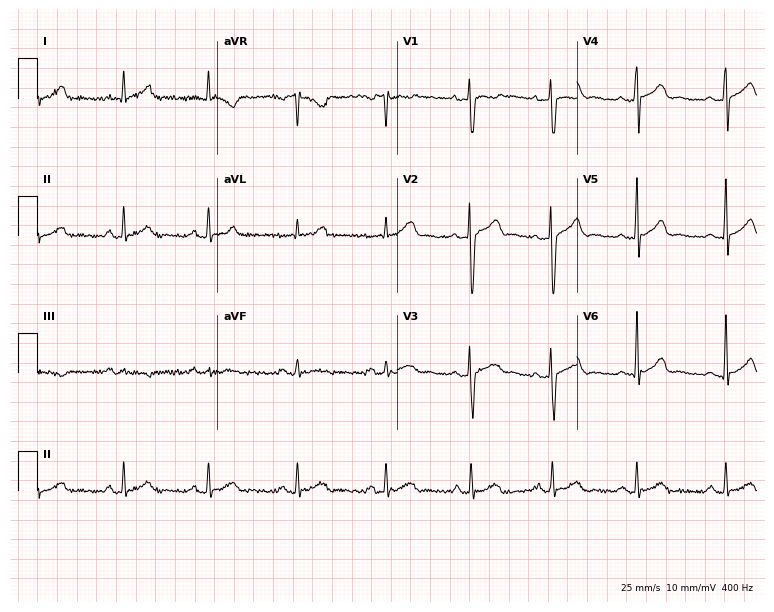
Electrocardiogram (7.3-second recording at 400 Hz), a 24-year-old man. Overall reading on record: normal ECG.